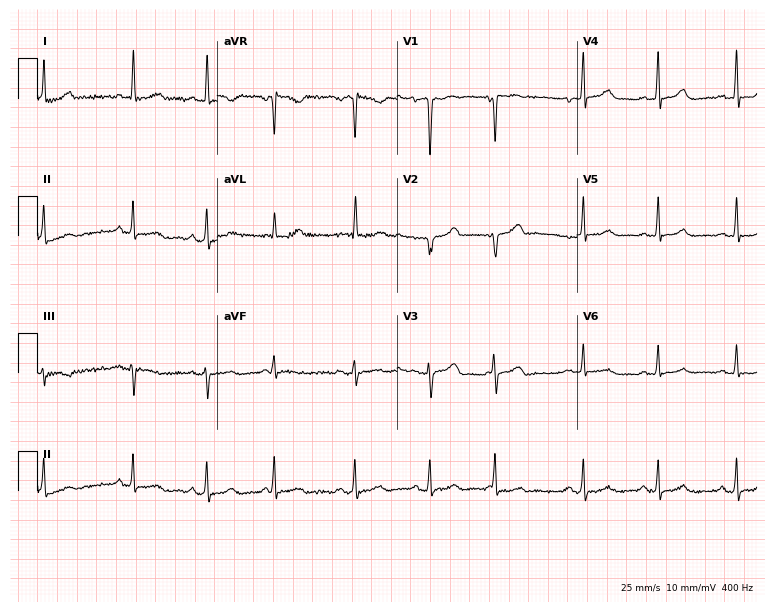
12-lead ECG from a 64-year-old woman. Screened for six findings — first-degree AV block, right bundle branch block, left bundle branch block, sinus bradycardia, atrial fibrillation, sinus tachycardia — none is recorded. Only these six findings were labelled.